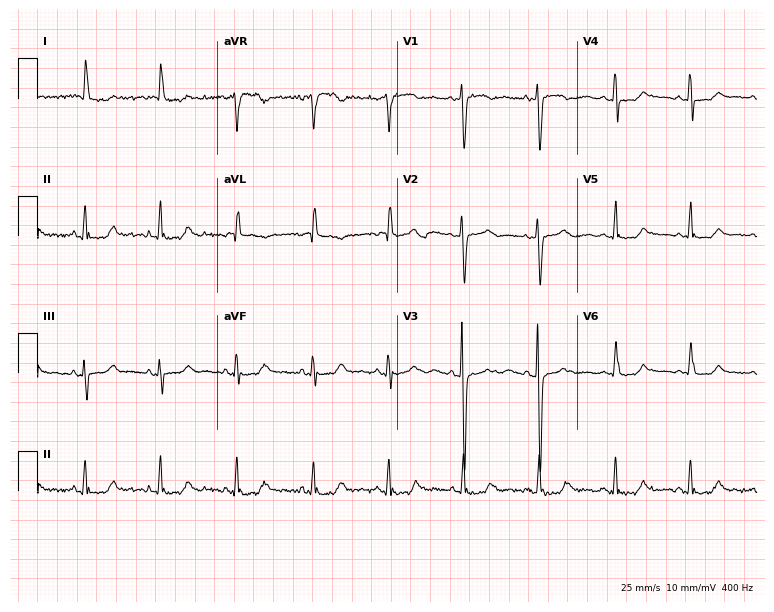
ECG — a woman, 54 years old. Screened for six findings — first-degree AV block, right bundle branch block (RBBB), left bundle branch block (LBBB), sinus bradycardia, atrial fibrillation (AF), sinus tachycardia — none is recorded.